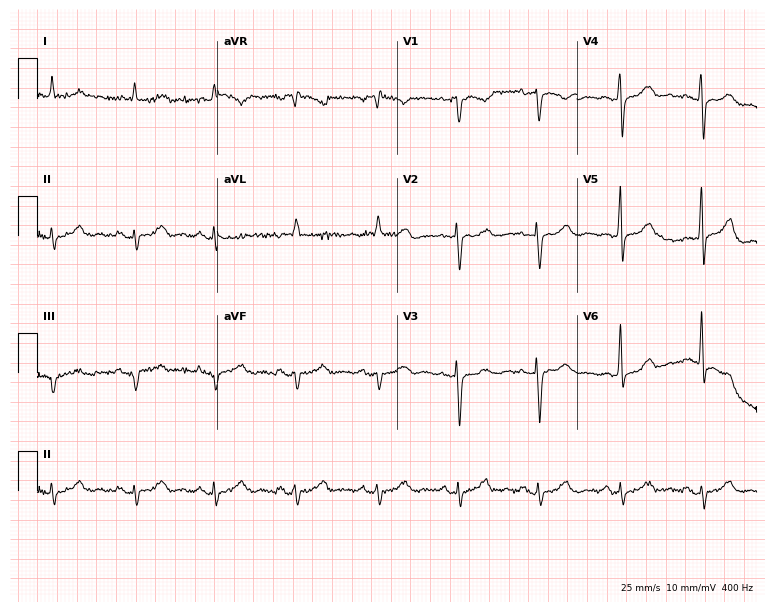
Resting 12-lead electrocardiogram (7.3-second recording at 400 Hz). Patient: a 74-year-old woman. None of these six findings is recorded: first-degree AV block, right bundle branch block (RBBB), left bundle branch block (LBBB), sinus bradycardia, atrial fibrillation (AF), sinus tachycardia.